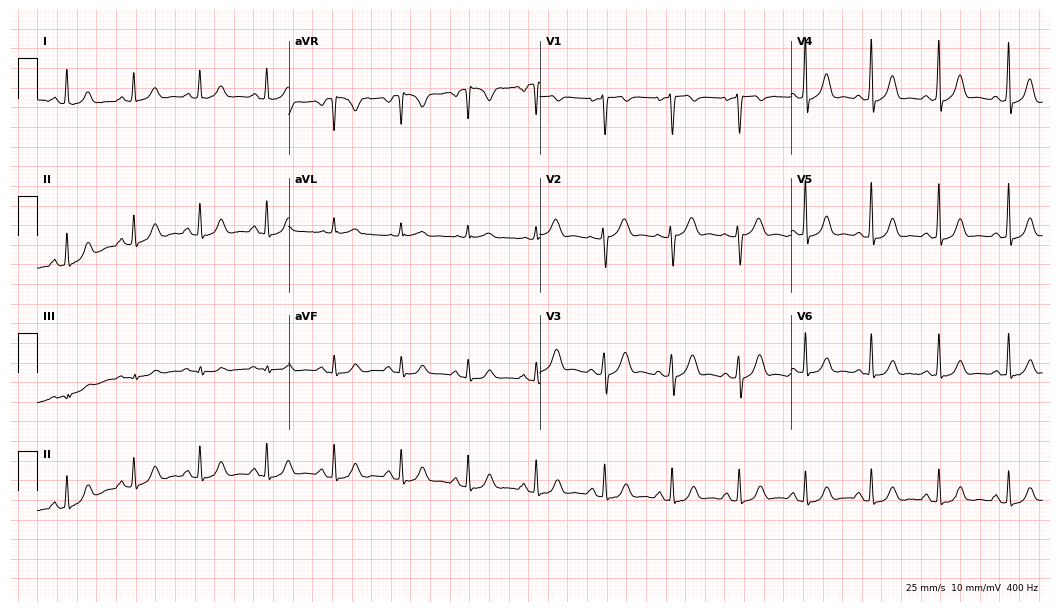
12-lead ECG from a female patient, 50 years old. Recorded interpretation: within normal limits.